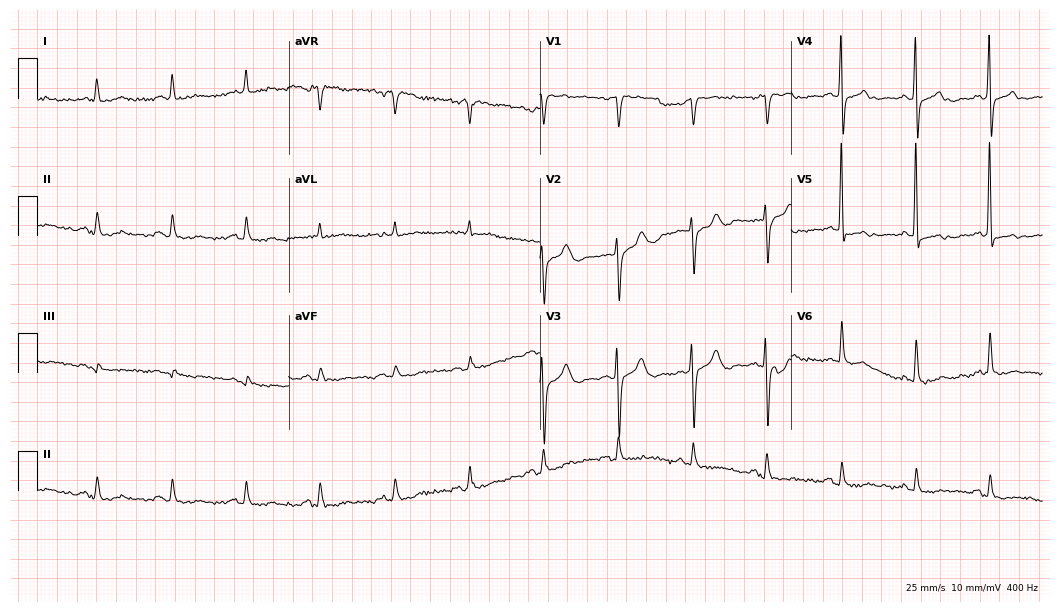
Standard 12-lead ECG recorded from a 74-year-old female. None of these six findings is recorded: first-degree AV block, right bundle branch block, left bundle branch block, sinus bradycardia, atrial fibrillation, sinus tachycardia. Findings outside these six are not listed.